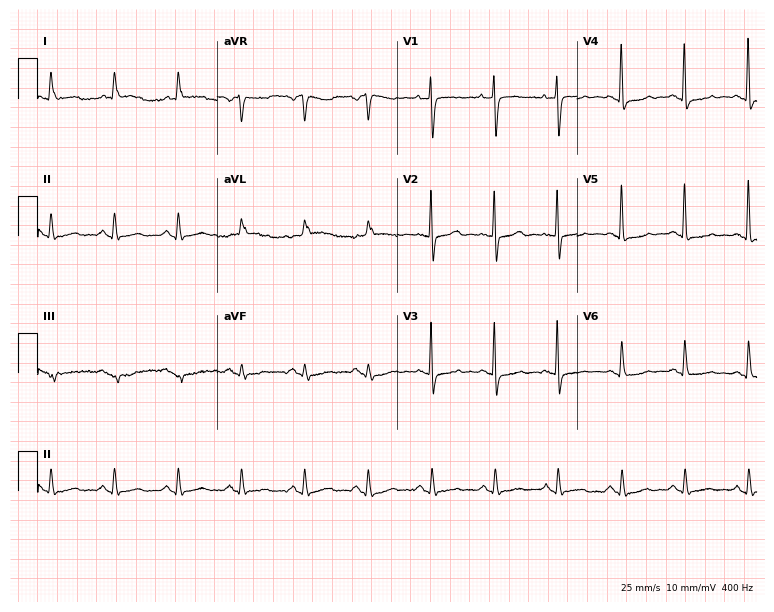
12-lead ECG from a woman, 84 years old. Screened for six findings — first-degree AV block, right bundle branch block, left bundle branch block, sinus bradycardia, atrial fibrillation, sinus tachycardia — none is recorded. Other findings, if any, are not listed.